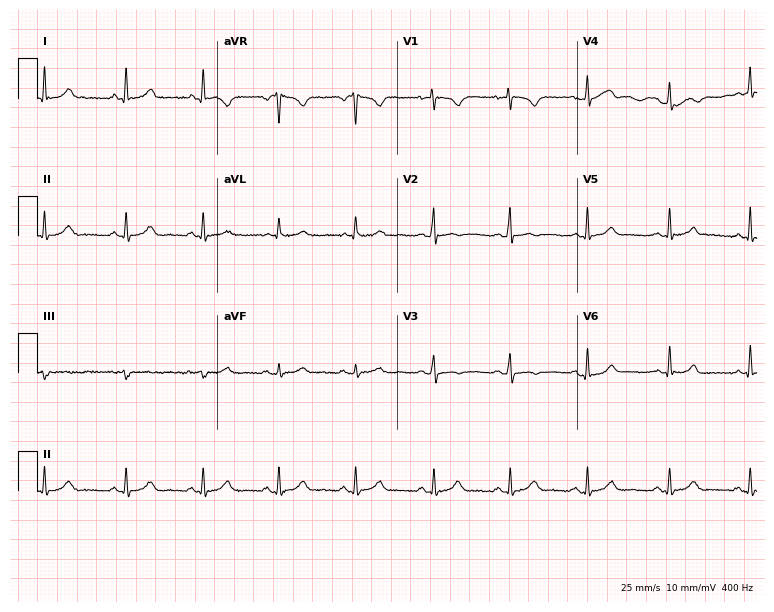
12-lead ECG from a 28-year-old woman. Screened for six findings — first-degree AV block, right bundle branch block, left bundle branch block, sinus bradycardia, atrial fibrillation, sinus tachycardia — none is recorded. Findings outside these six are not listed.